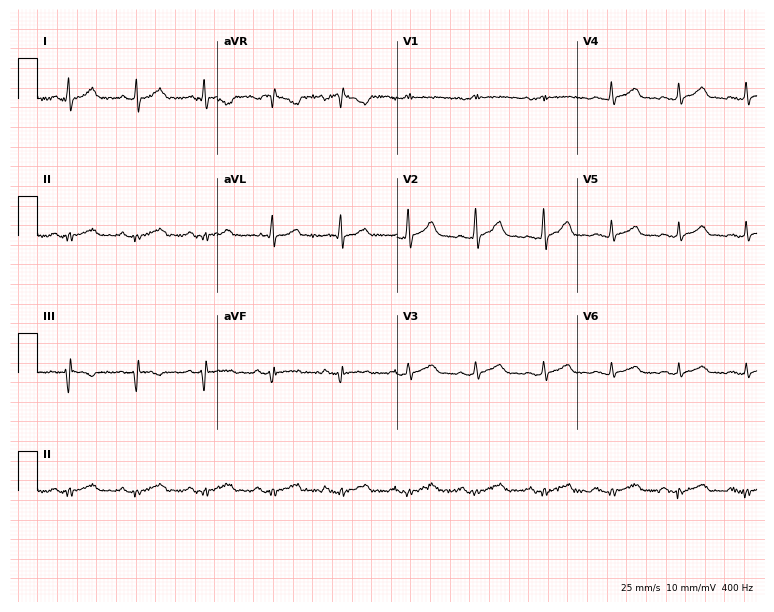
Electrocardiogram (7.3-second recording at 400 Hz), a 46-year-old male patient. Of the six screened findings (first-degree AV block, right bundle branch block (RBBB), left bundle branch block (LBBB), sinus bradycardia, atrial fibrillation (AF), sinus tachycardia), none is recorded. Findings outside these six are not listed.